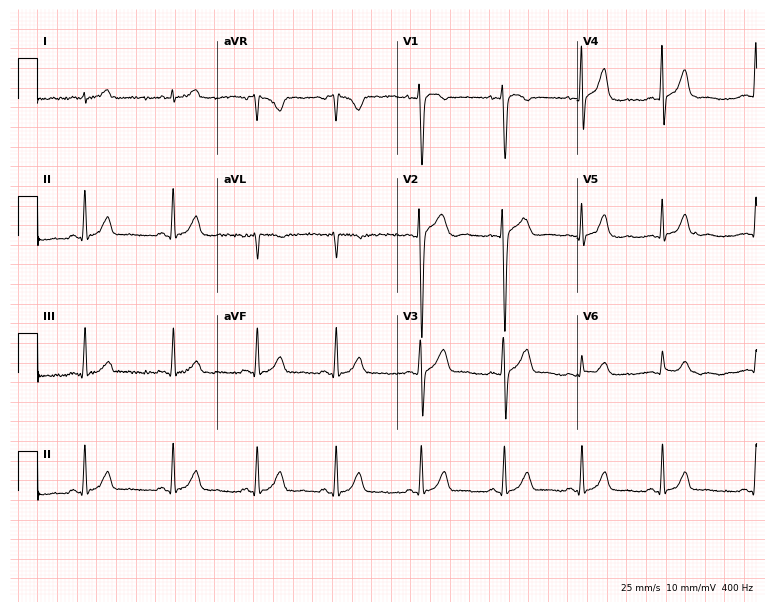
12-lead ECG (7.3-second recording at 400 Hz) from a 21-year-old male patient. Labelled as a normal ECG.